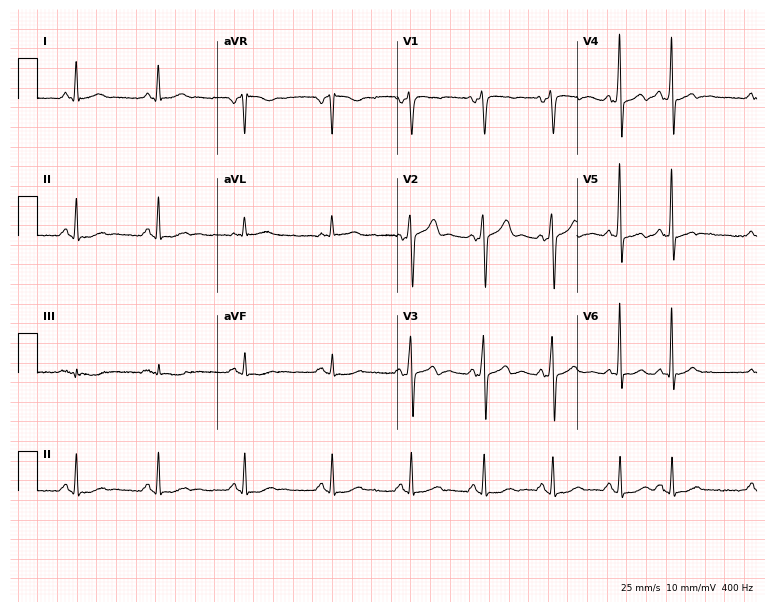
Standard 12-lead ECG recorded from a 61-year-old male. None of these six findings is recorded: first-degree AV block, right bundle branch block, left bundle branch block, sinus bradycardia, atrial fibrillation, sinus tachycardia. Other findings, if any, are not listed.